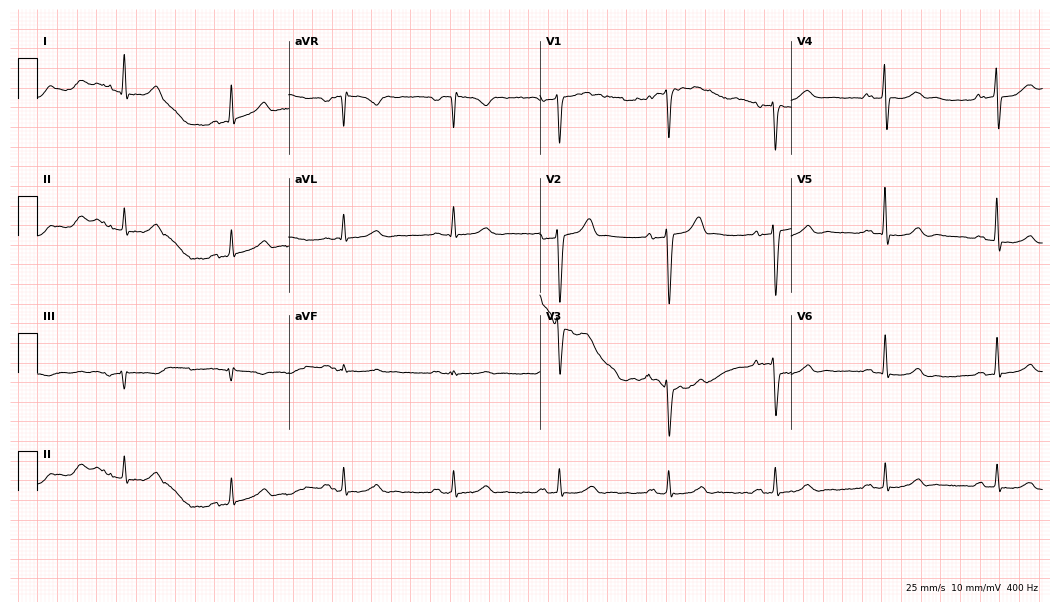
Resting 12-lead electrocardiogram. Patient: a male, 57 years old. None of these six findings is recorded: first-degree AV block, right bundle branch block, left bundle branch block, sinus bradycardia, atrial fibrillation, sinus tachycardia.